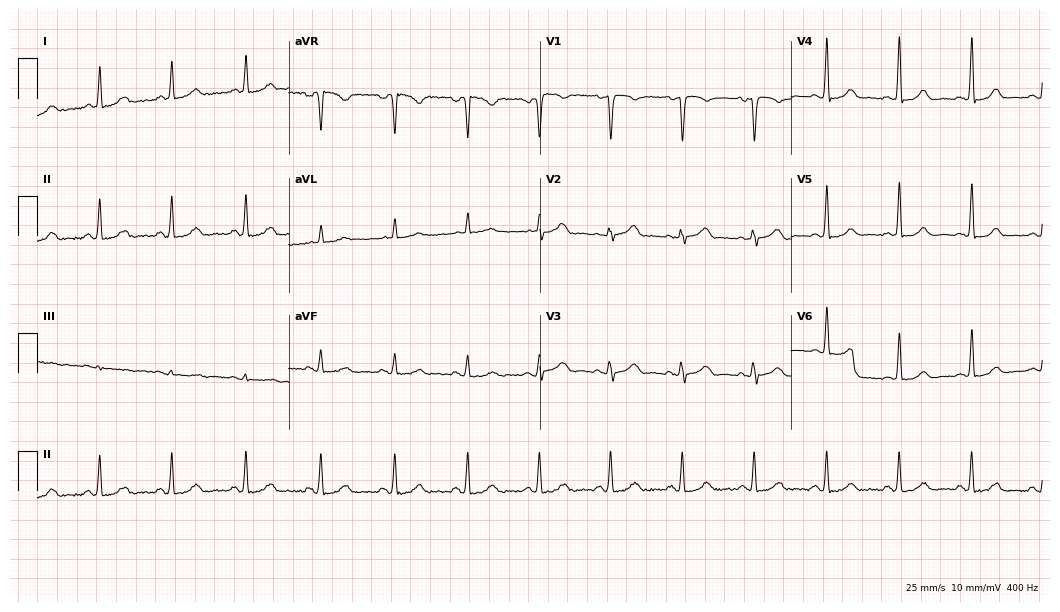
12-lead ECG from a 46-year-old woman. Screened for six findings — first-degree AV block, right bundle branch block (RBBB), left bundle branch block (LBBB), sinus bradycardia, atrial fibrillation (AF), sinus tachycardia — none is recorded. Findings outside these six are not listed.